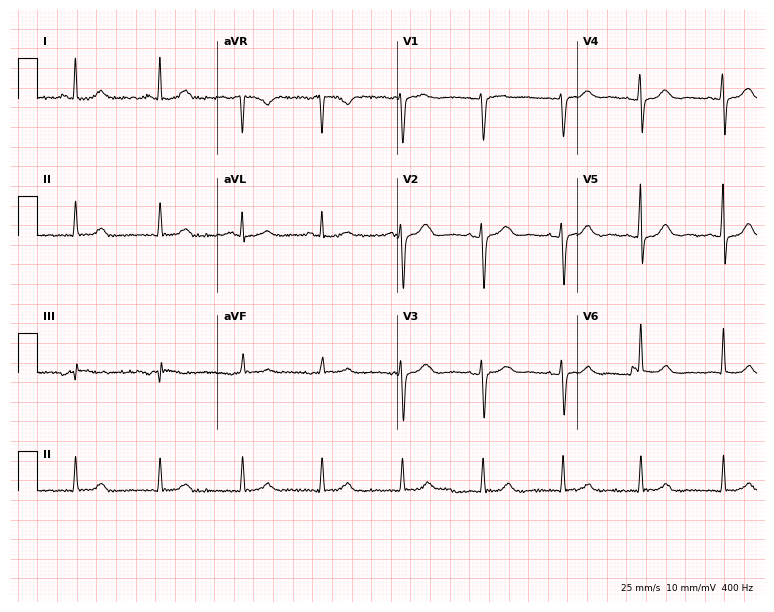
12-lead ECG (7.3-second recording at 400 Hz) from a 49-year-old female. Labelled as a normal ECG.